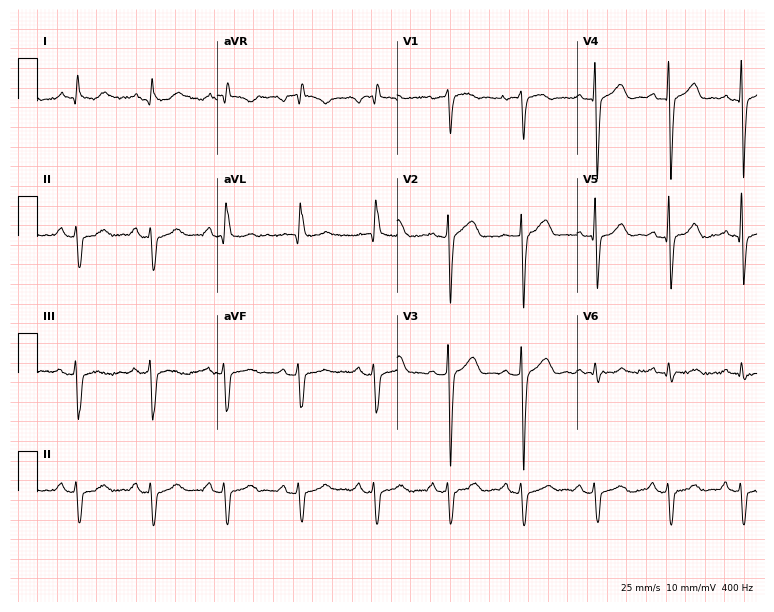
12-lead ECG (7.3-second recording at 400 Hz) from an 81-year-old male. Screened for six findings — first-degree AV block, right bundle branch block (RBBB), left bundle branch block (LBBB), sinus bradycardia, atrial fibrillation (AF), sinus tachycardia — none is recorded.